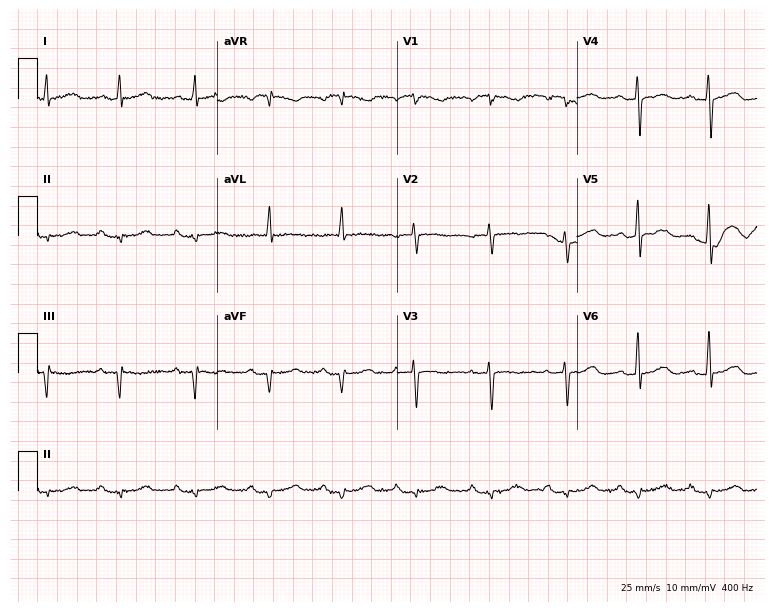
12-lead ECG (7.3-second recording at 400 Hz) from a 76-year-old male. Screened for six findings — first-degree AV block, right bundle branch block, left bundle branch block, sinus bradycardia, atrial fibrillation, sinus tachycardia — none is recorded. Only these six findings were labelled.